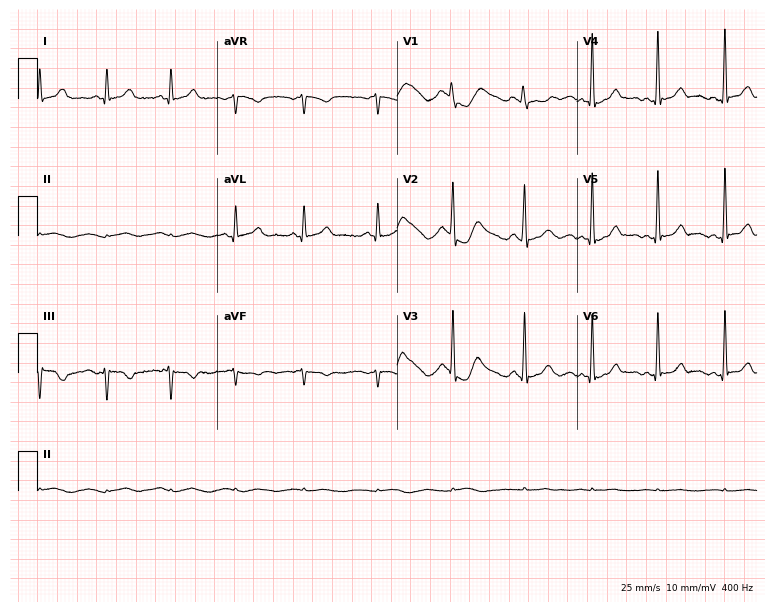
Resting 12-lead electrocardiogram. Patient: a female, 38 years old. None of these six findings is recorded: first-degree AV block, right bundle branch block, left bundle branch block, sinus bradycardia, atrial fibrillation, sinus tachycardia. Other findings, if any, are not listed.